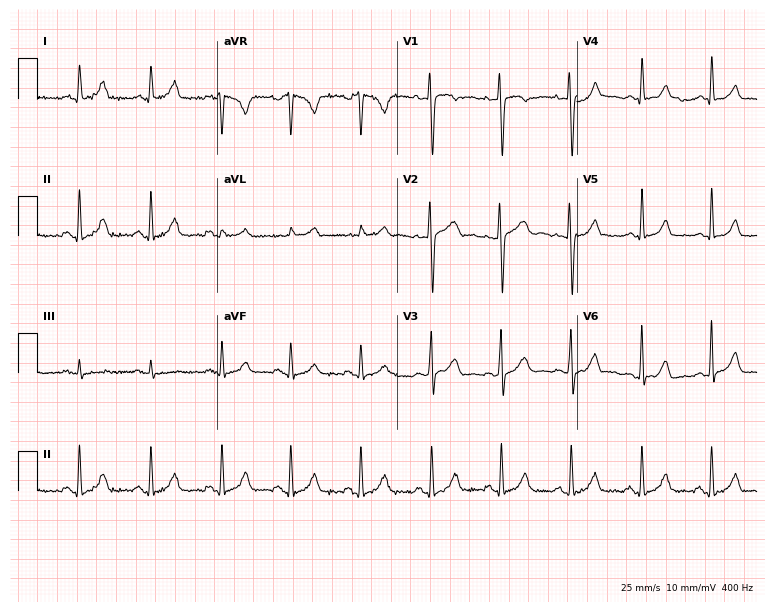
Resting 12-lead electrocardiogram. Patient: a 30-year-old woman. None of these six findings is recorded: first-degree AV block, right bundle branch block (RBBB), left bundle branch block (LBBB), sinus bradycardia, atrial fibrillation (AF), sinus tachycardia.